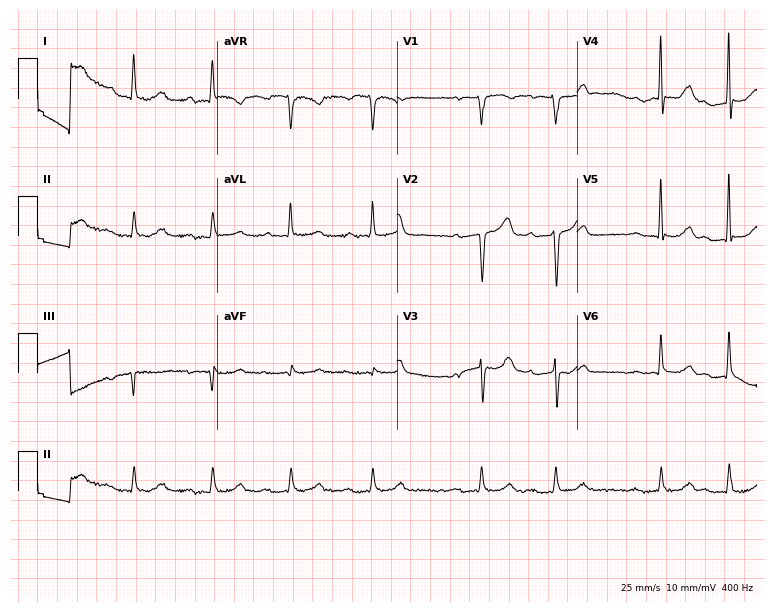
Resting 12-lead electrocardiogram (7.3-second recording at 400 Hz). Patient: an 81-year-old female. The tracing shows first-degree AV block.